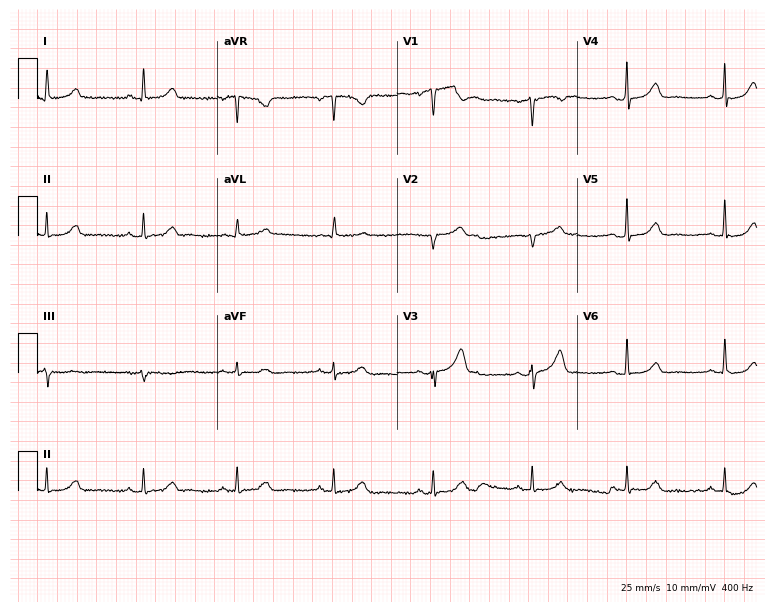
Resting 12-lead electrocardiogram. Patient: a female, 59 years old. Read as a normal ECG.